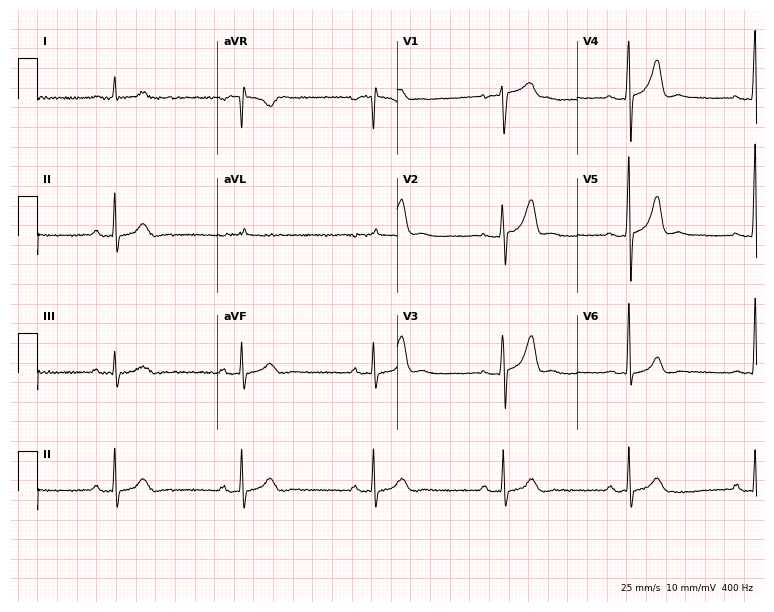
Electrocardiogram, a 64-year-old male. Of the six screened findings (first-degree AV block, right bundle branch block, left bundle branch block, sinus bradycardia, atrial fibrillation, sinus tachycardia), none is recorded. Findings outside these six are not listed.